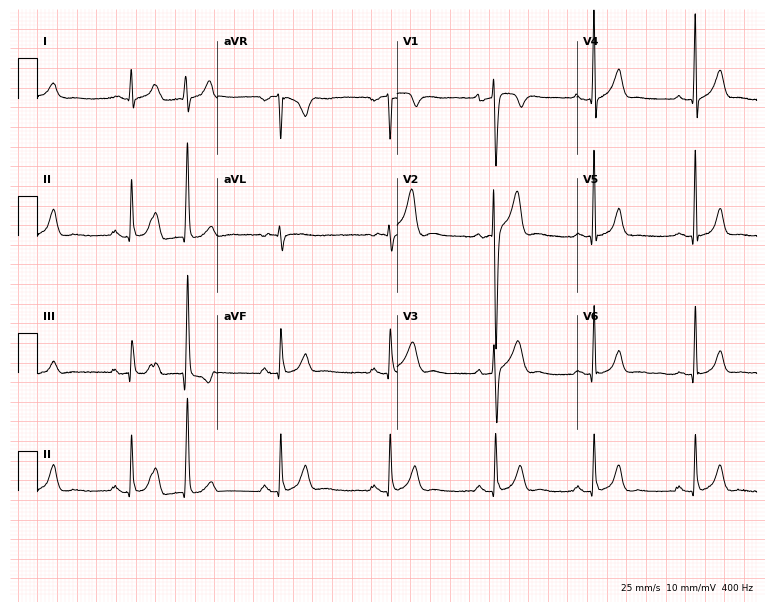
Resting 12-lead electrocardiogram. Patient: a 27-year-old man. None of these six findings is recorded: first-degree AV block, right bundle branch block, left bundle branch block, sinus bradycardia, atrial fibrillation, sinus tachycardia. Only these six findings were labelled.